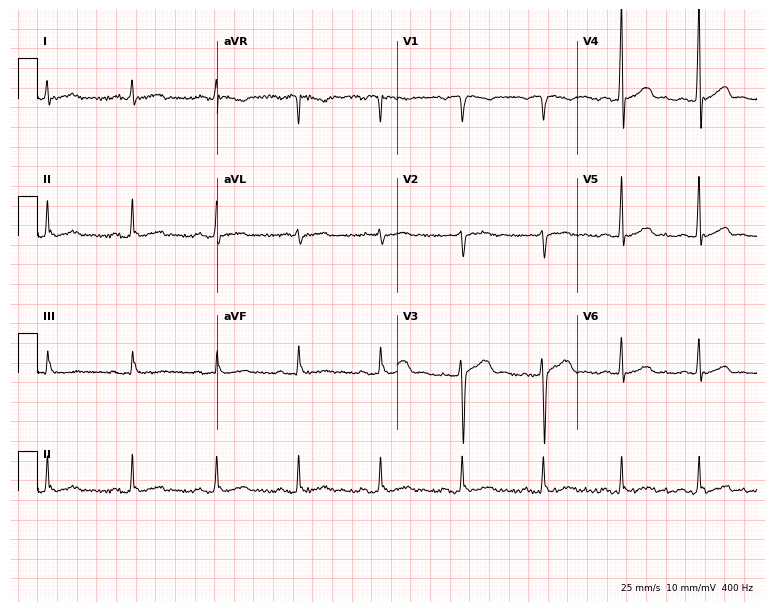
Electrocardiogram, a 52-year-old male patient. Of the six screened findings (first-degree AV block, right bundle branch block, left bundle branch block, sinus bradycardia, atrial fibrillation, sinus tachycardia), none is recorded. Only these six findings were labelled.